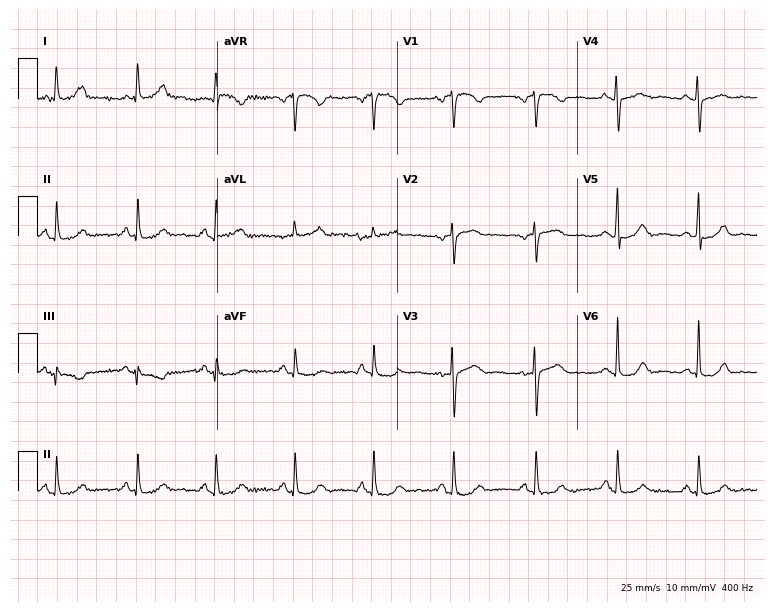
12-lead ECG from a female patient, 64 years old. Screened for six findings — first-degree AV block, right bundle branch block, left bundle branch block, sinus bradycardia, atrial fibrillation, sinus tachycardia — none is recorded. Findings outside these six are not listed.